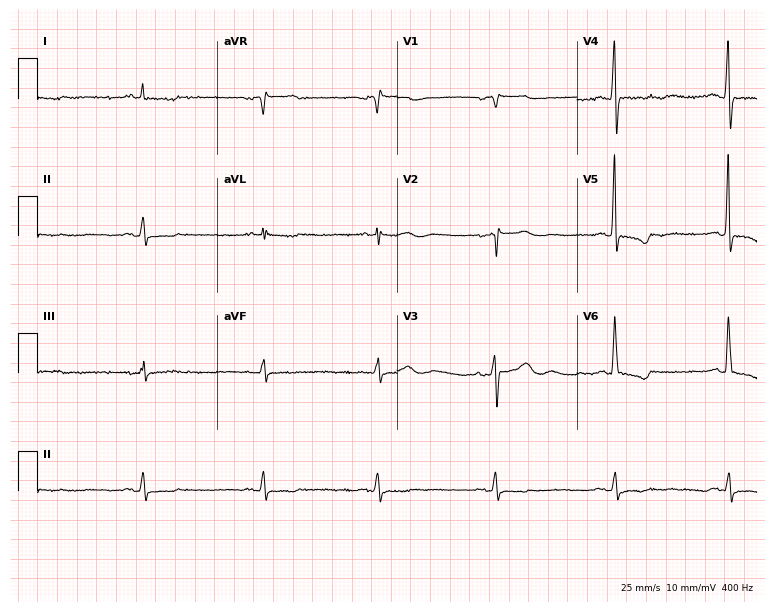
Resting 12-lead electrocardiogram (7.3-second recording at 400 Hz). Patient: a male, 80 years old. The tracing shows sinus bradycardia (a sinus rate of 50 beats per minute or less).